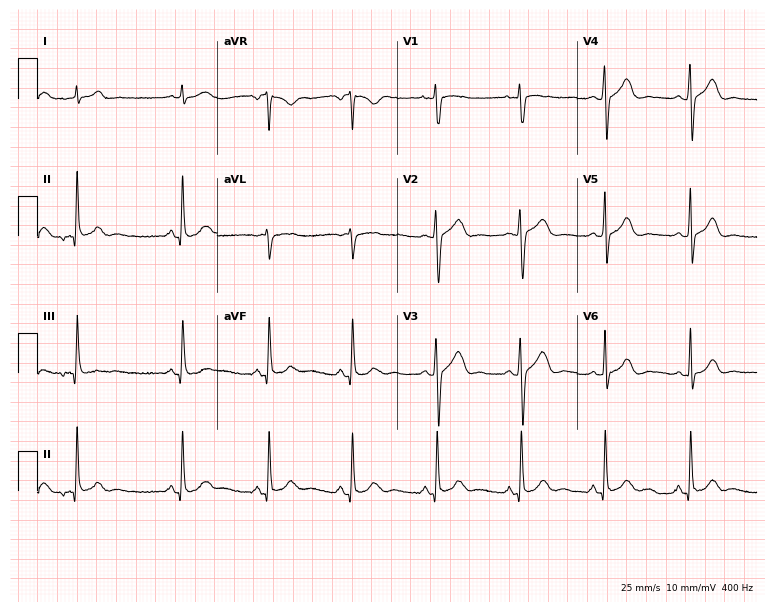
Resting 12-lead electrocardiogram (7.3-second recording at 400 Hz). Patient: a woman, 40 years old. Read as a normal ECG.